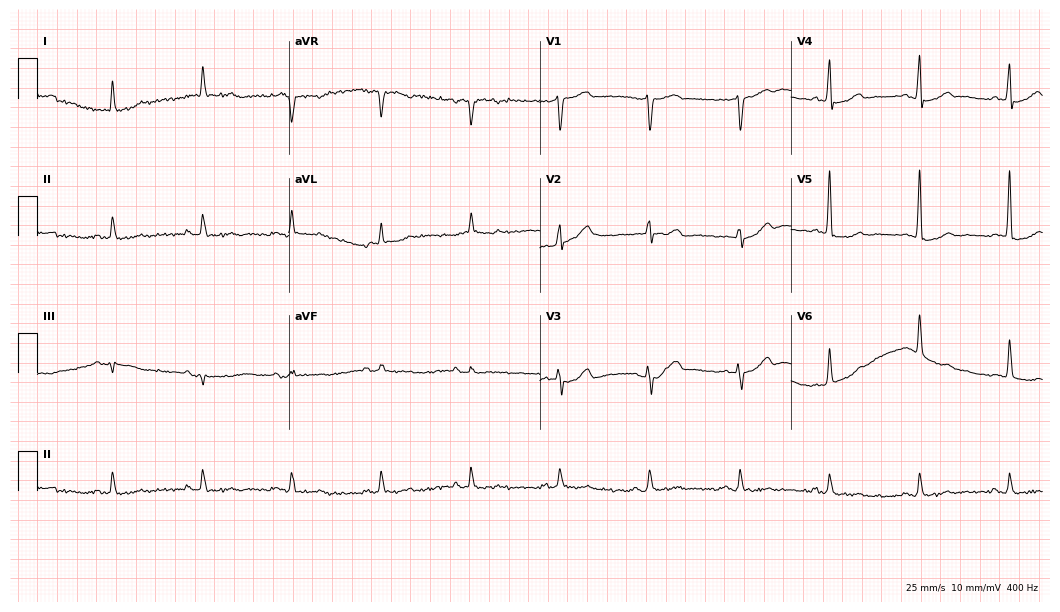
Electrocardiogram (10.2-second recording at 400 Hz), a male patient, 85 years old. Of the six screened findings (first-degree AV block, right bundle branch block, left bundle branch block, sinus bradycardia, atrial fibrillation, sinus tachycardia), none is recorded. Other findings, if any, are not listed.